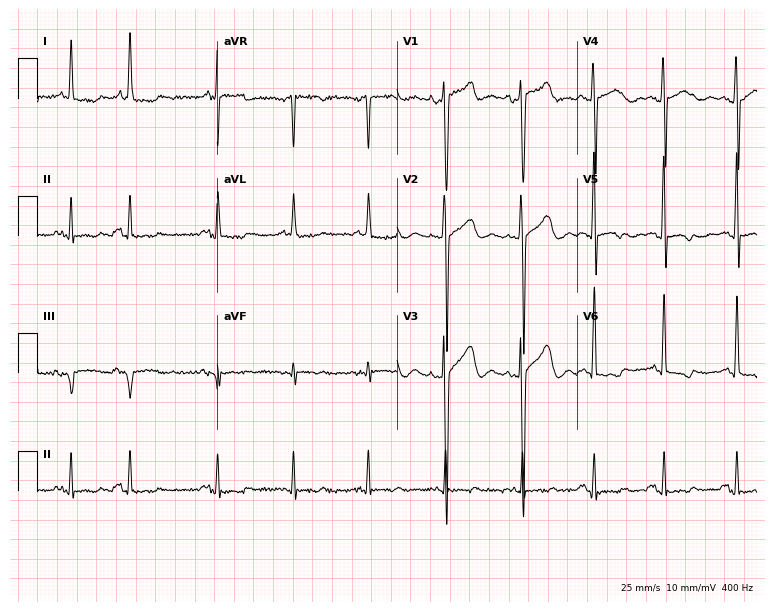
Standard 12-lead ECG recorded from a male, 61 years old (7.3-second recording at 400 Hz). None of these six findings is recorded: first-degree AV block, right bundle branch block, left bundle branch block, sinus bradycardia, atrial fibrillation, sinus tachycardia. Other findings, if any, are not listed.